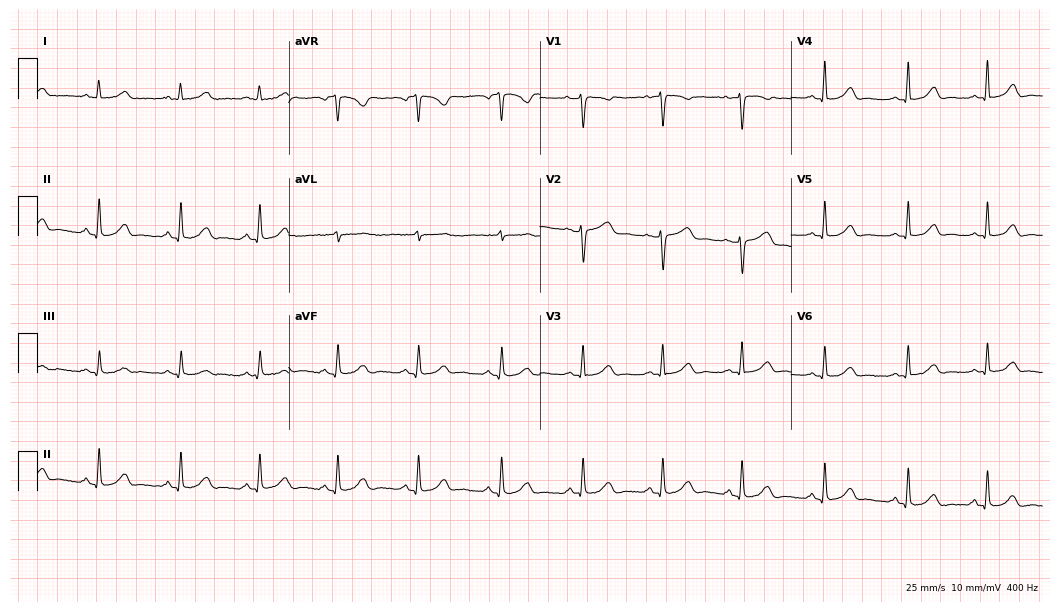
Resting 12-lead electrocardiogram (10.2-second recording at 400 Hz). Patient: a 42-year-old female. Read as a normal ECG.